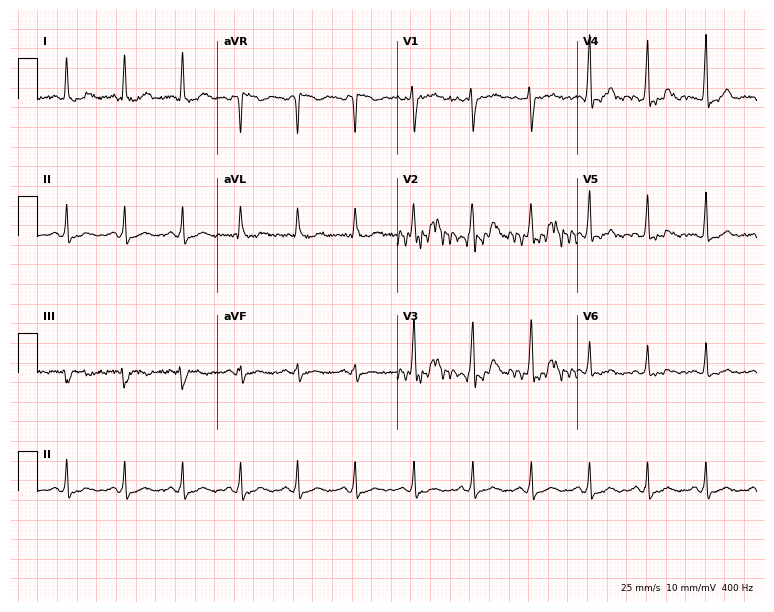
12-lead ECG from a 47-year-old female patient. Shows sinus tachycardia (a sinus rate of 100 beats per minute or more).